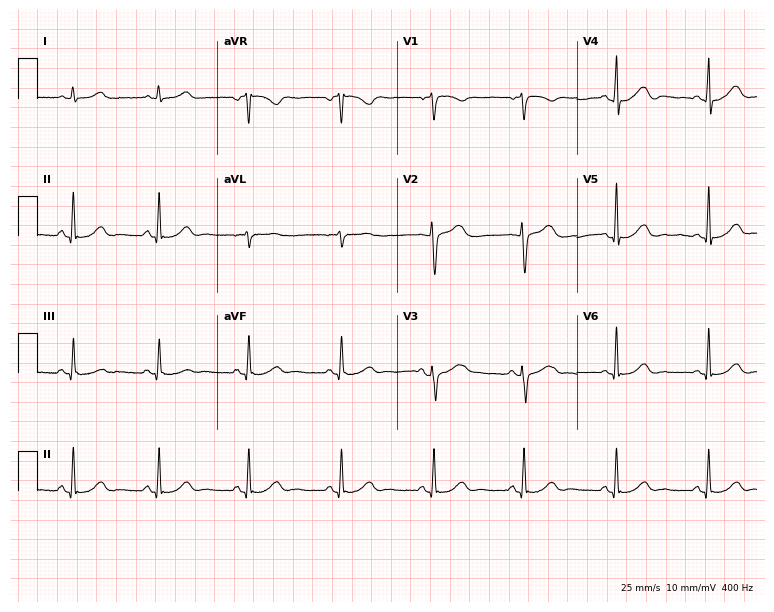
Resting 12-lead electrocardiogram (7.3-second recording at 400 Hz). Patient: a 48-year-old woman. Read as a normal ECG.